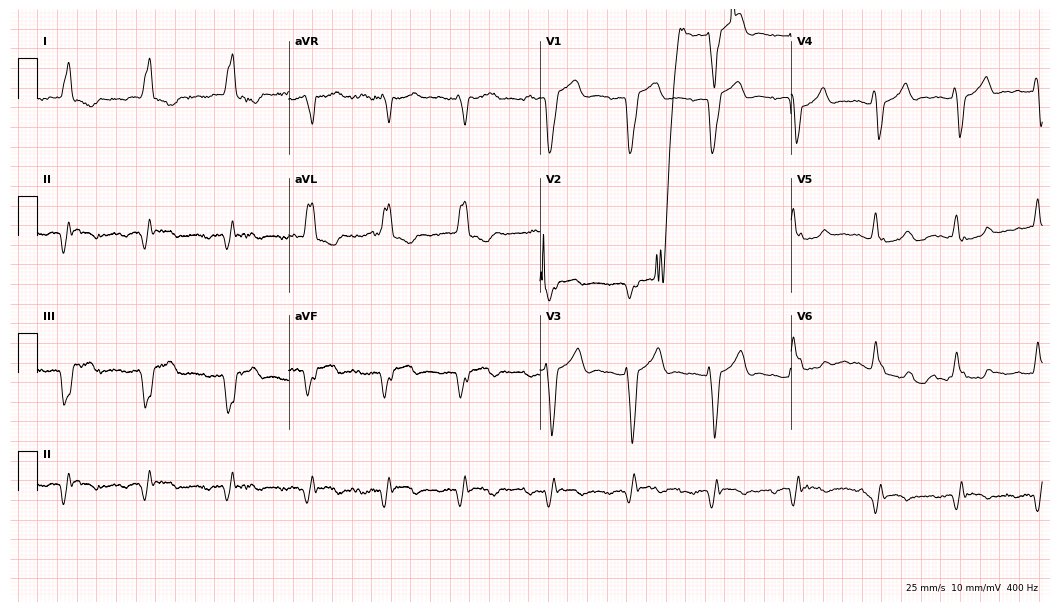
Electrocardiogram (10.2-second recording at 400 Hz), a male patient, 82 years old. Of the six screened findings (first-degree AV block, right bundle branch block, left bundle branch block, sinus bradycardia, atrial fibrillation, sinus tachycardia), none is recorded. Findings outside these six are not listed.